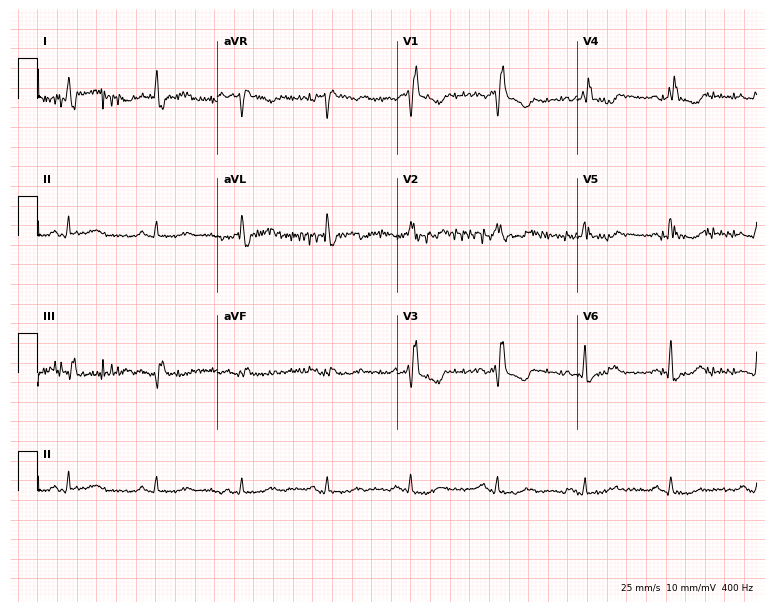
12-lead ECG (7.3-second recording at 400 Hz) from a man, 70 years old. Screened for six findings — first-degree AV block, right bundle branch block, left bundle branch block, sinus bradycardia, atrial fibrillation, sinus tachycardia — none is recorded. Other findings, if any, are not listed.